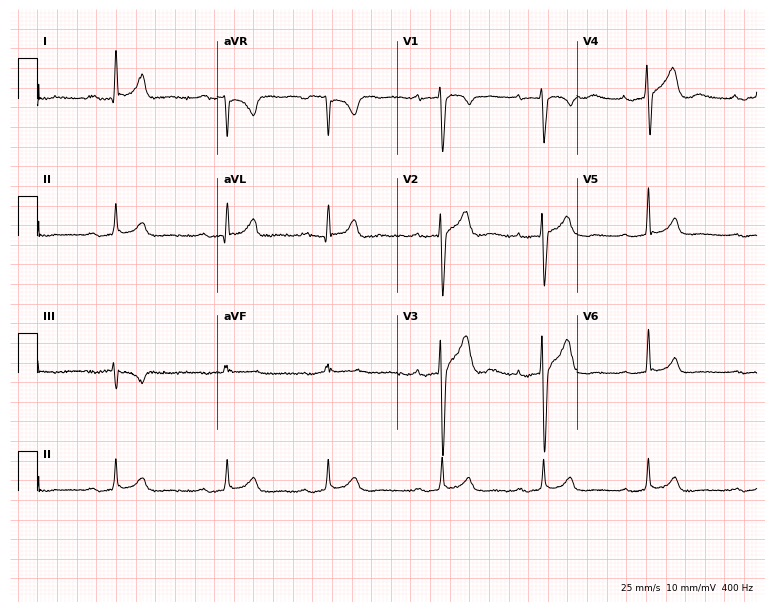
12-lead ECG from a 37-year-old male. Shows first-degree AV block.